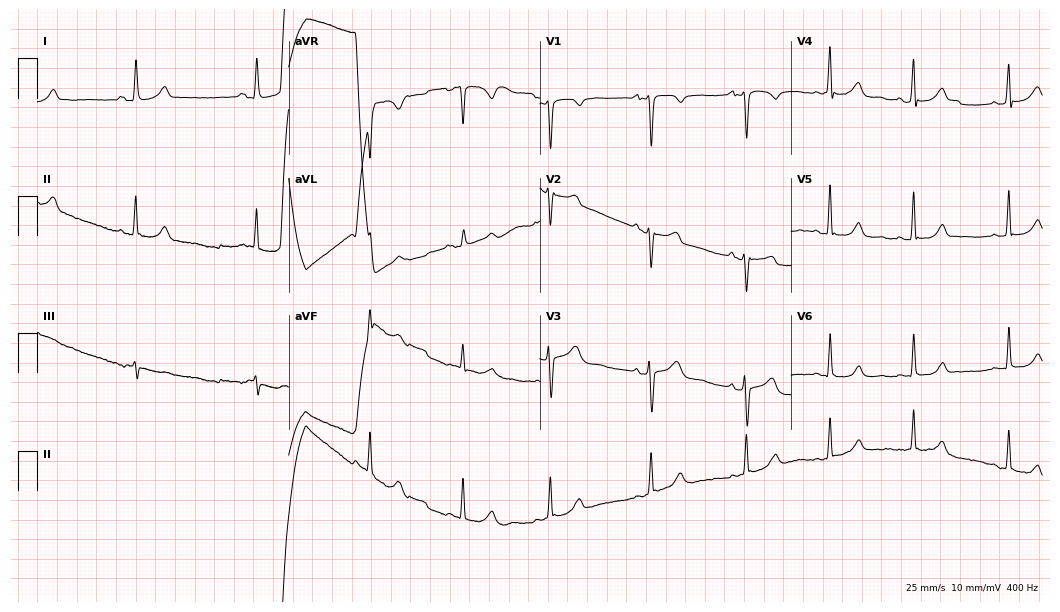
ECG — a female patient, 25 years old. Screened for six findings — first-degree AV block, right bundle branch block (RBBB), left bundle branch block (LBBB), sinus bradycardia, atrial fibrillation (AF), sinus tachycardia — none is recorded.